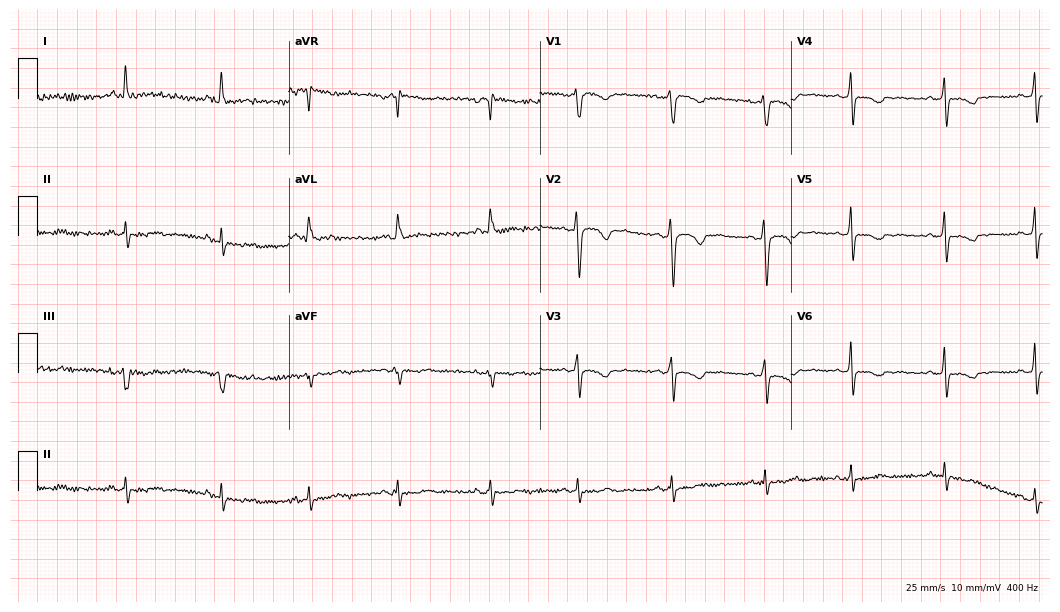
Electrocardiogram, a 28-year-old woman. Of the six screened findings (first-degree AV block, right bundle branch block (RBBB), left bundle branch block (LBBB), sinus bradycardia, atrial fibrillation (AF), sinus tachycardia), none is recorded.